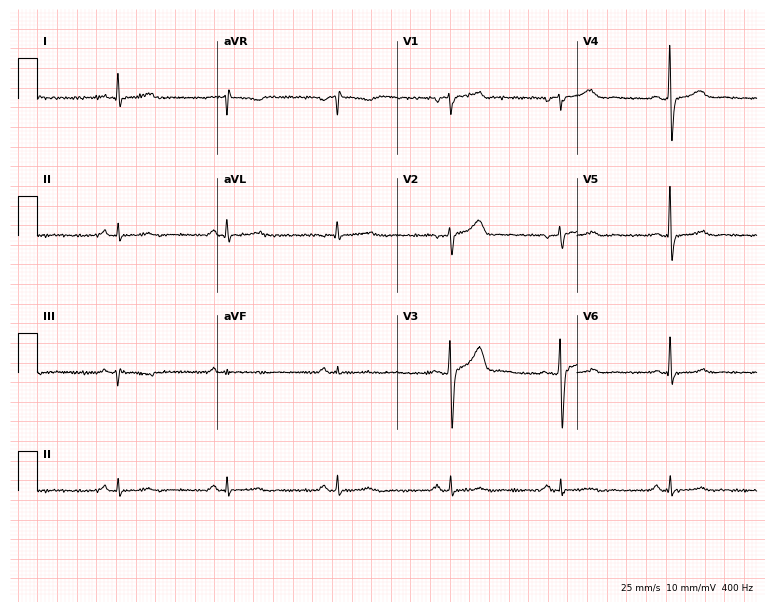
12-lead ECG from a male, 42 years old. No first-degree AV block, right bundle branch block (RBBB), left bundle branch block (LBBB), sinus bradycardia, atrial fibrillation (AF) or sinus tachycardia recorded for this tracing.